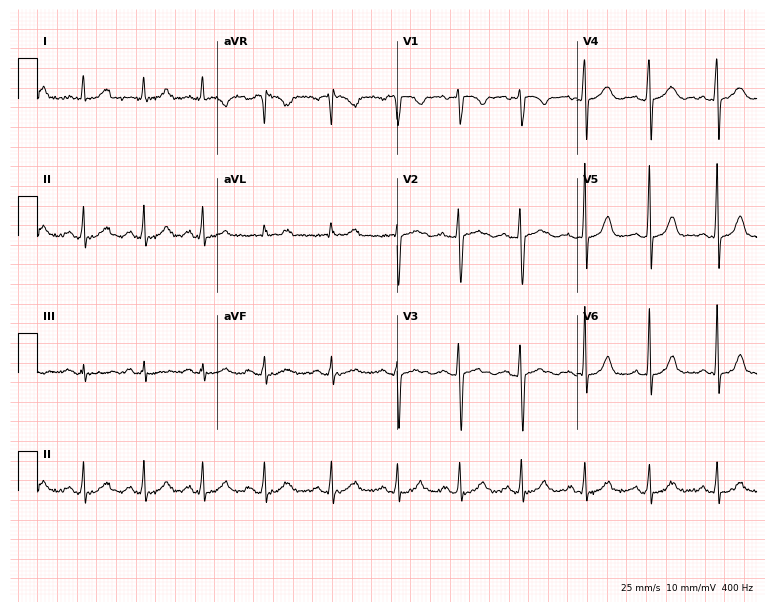
12-lead ECG (7.3-second recording at 400 Hz) from a woman, 38 years old. Screened for six findings — first-degree AV block, right bundle branch block, left bundle branch block, sinus bradycardia, atrial fibrillation, sinus tachycardia — none is recorded. Other findings, if any, are not listed.